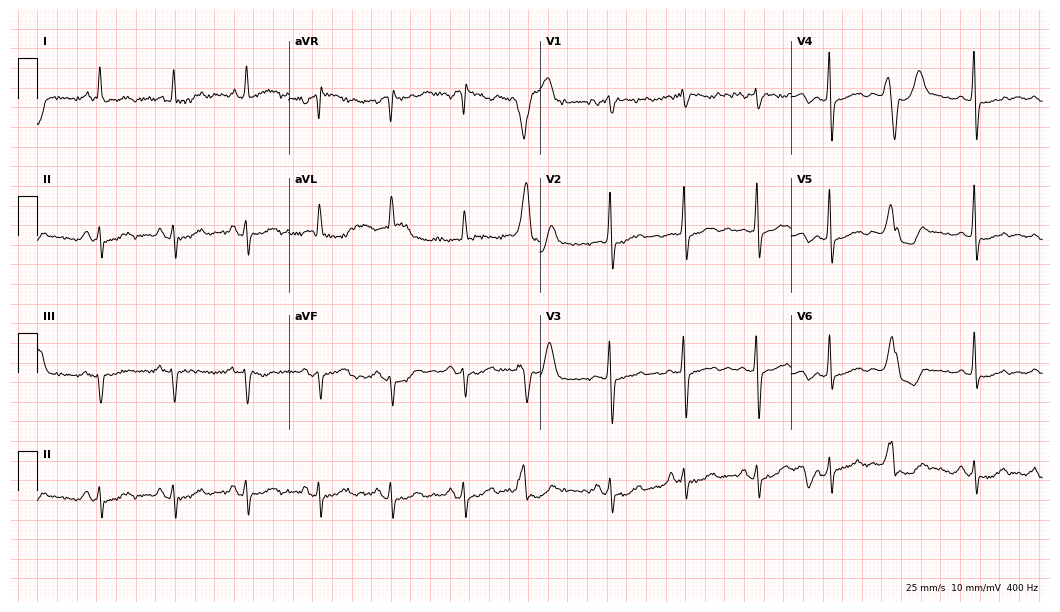
Standard 12-lead ECG recorded from an 82-year-old female patient (10.2-second recording at 400 Hz). None of these six findings is recorded: first-degree AV block, right bundle branch block, left bundle branch block, sinus bradycardia, atrial fibrillation, sinus tachycardia.